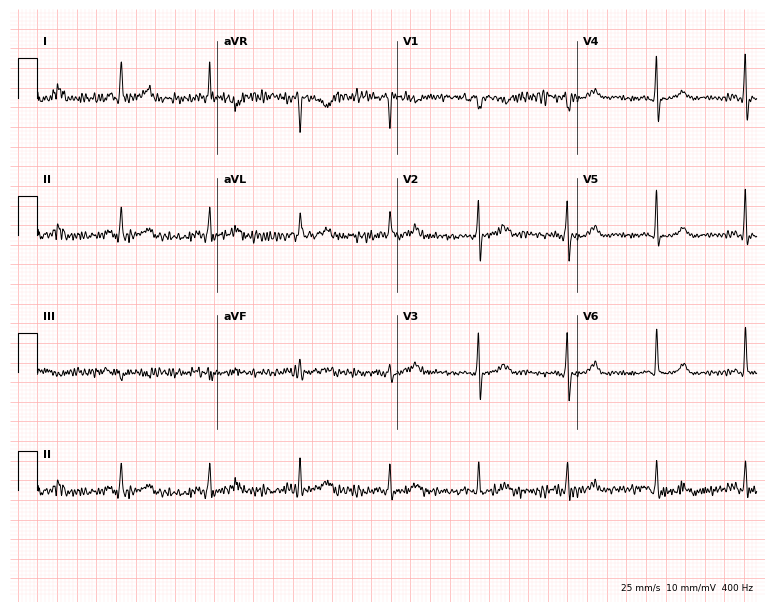
12-lead ECG (7.3-second recording at 400 Hz) from an 80-year-old female. Screened for six findings — first-degree AV block, right bundle branch block, left bundle branch block, sinus bradycardia, atrial fibrillation, sinus tachycardia — none is recorded. Findings outside these six are not listed.